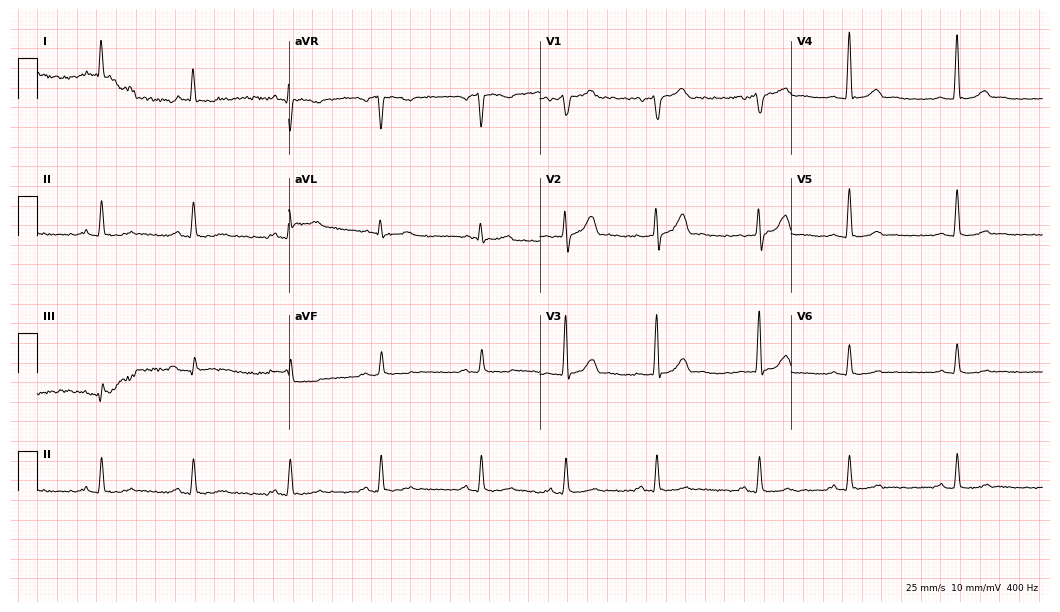
12-lead ECG from a 40-year-old man. Labelled as a normal ECG.